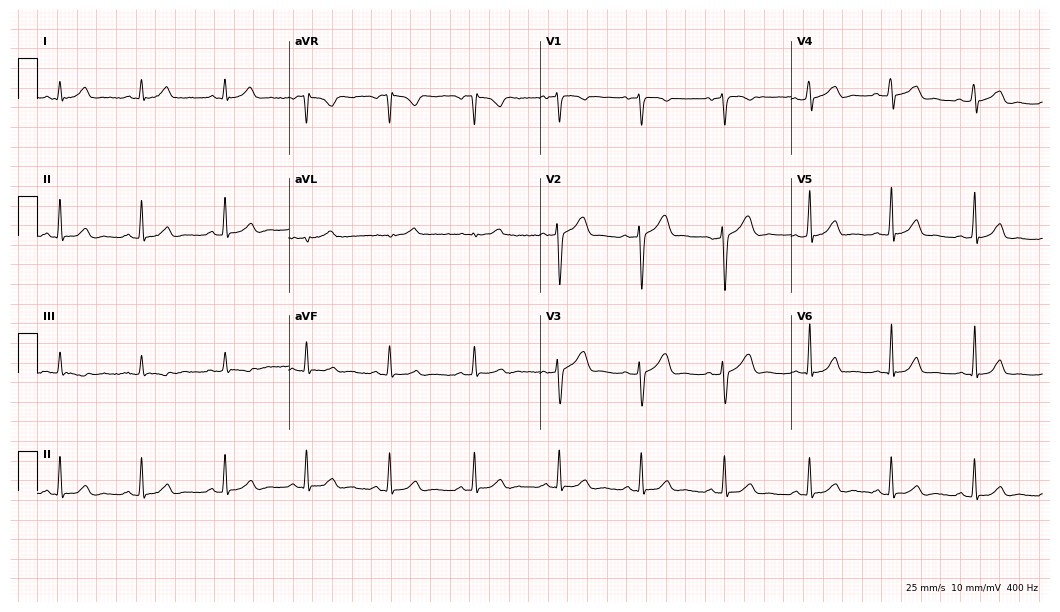
Standard 12-lead ECG recorded from a man, 44 years old. Read as a normal ECG.